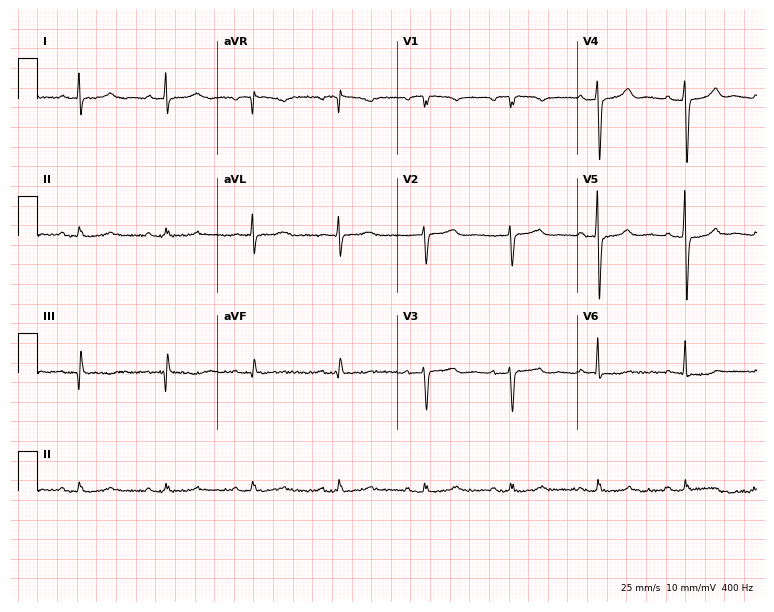
Electrocardiogram, an 84-year-old male. Of the six screened findings (first-degree AV block, right bundle branch block, left bundle branch block, sinus bradycardia, atrial fibrillation, sinus tachycardia), none is recorded.